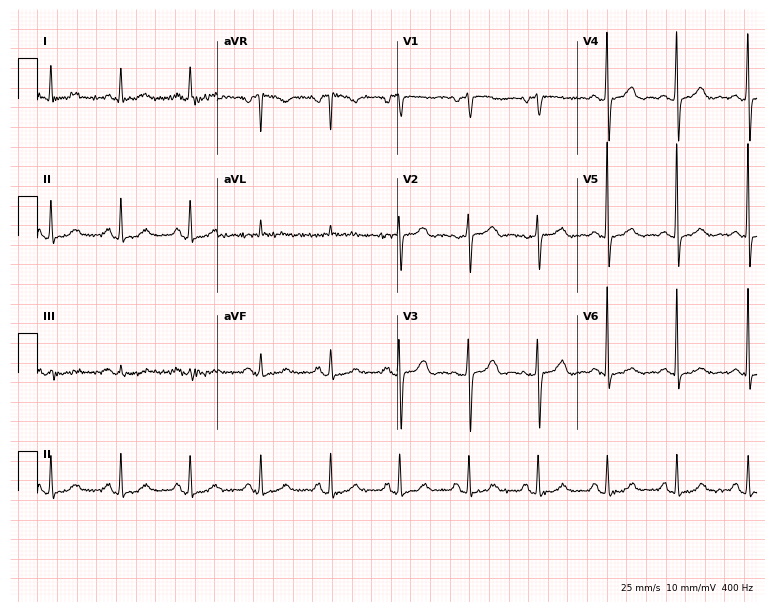
Standard 12-lead ECG recorded from a female patient, 74 years old (7.3-second recording at 400 Hz). None of these six findings is recorded: first-degree AV block, right bundle branch block, left bundle branch block, sinus bradycardia, atrial fibrillation, sinus tachycardia. Other findings, if any, are not listed.